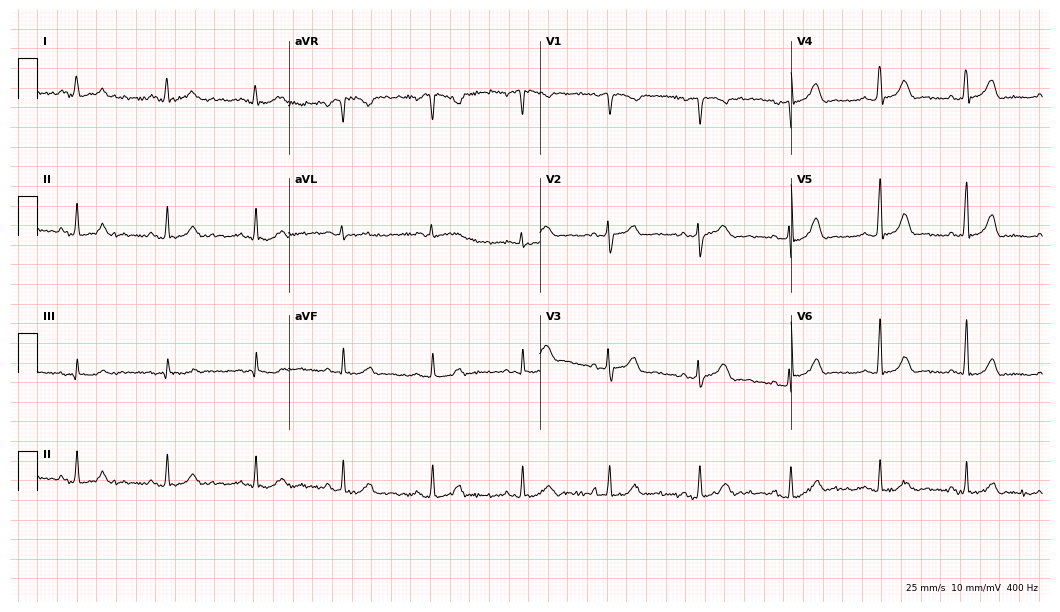
12-lead ECG from a female, 42 years old. No first-degree AV block, right bundle branch block (RBBB), left bundle branch block (LBBB), sinus bradycardia, atrial fibrillation (AF) or sinus tachycardia recorded for this tracing.